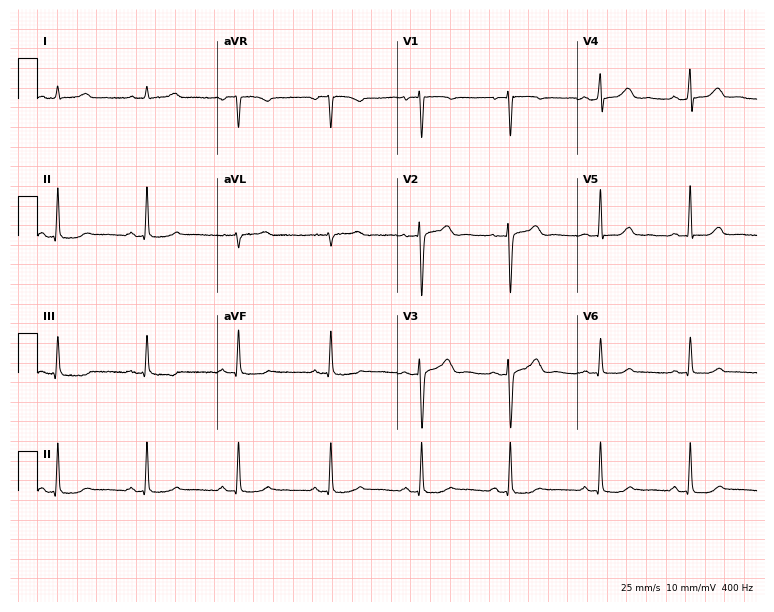
Standard 12-lead ECG recorded from a 38-year-old female. Read as a normal ECG.